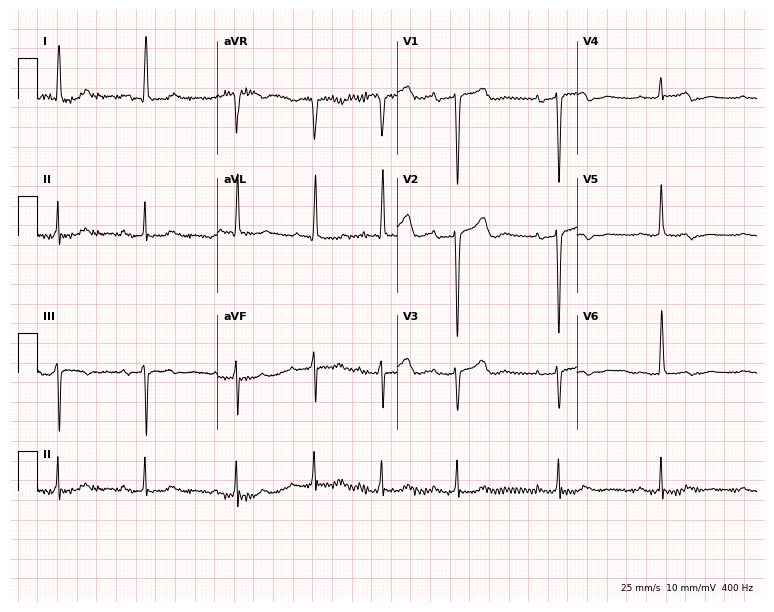
ECG (7.3-second recording at 400 Hz) — a woman, 53 years old. Screened for six findings — first-degree AV block, right bundle branch block, left bundle branch block, sinus bradycardia, atrial fibrillation, sinus tachycardia — none is recorded. Findings outside these six are not listed.